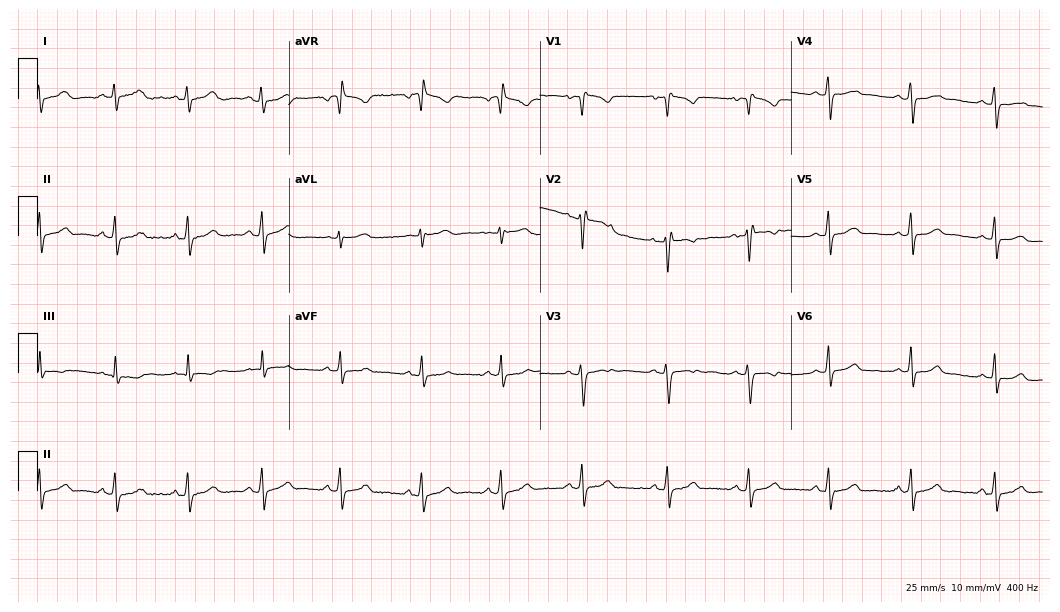
Resting 12-lead electrocardiogram (10.2-second recording at 400 Hz). Patient: a 20-year-old woman. Read as a normal ECG.